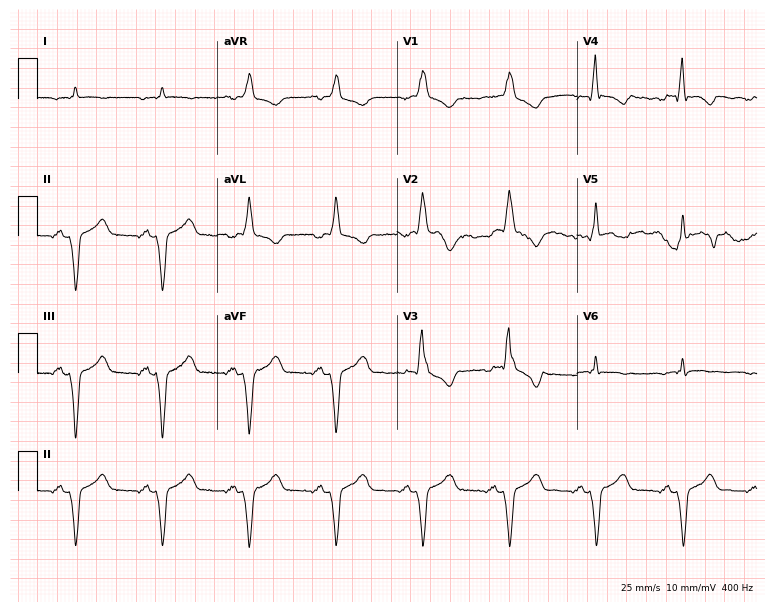
Resting 12-lead electrocardiogram. Patient: a man, 82 years old. The tracing shows right bundle branch block (RBBB).